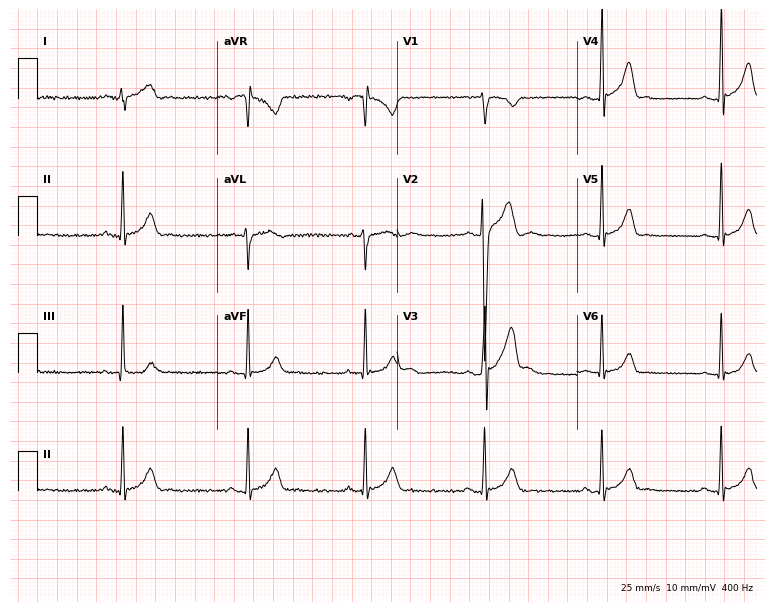
12-lead ECG from a man, 17 years old (7.3-second recording at 400 Hz). Shows sinus bradycardia (a sinus rate of 50 beats per minute or less).